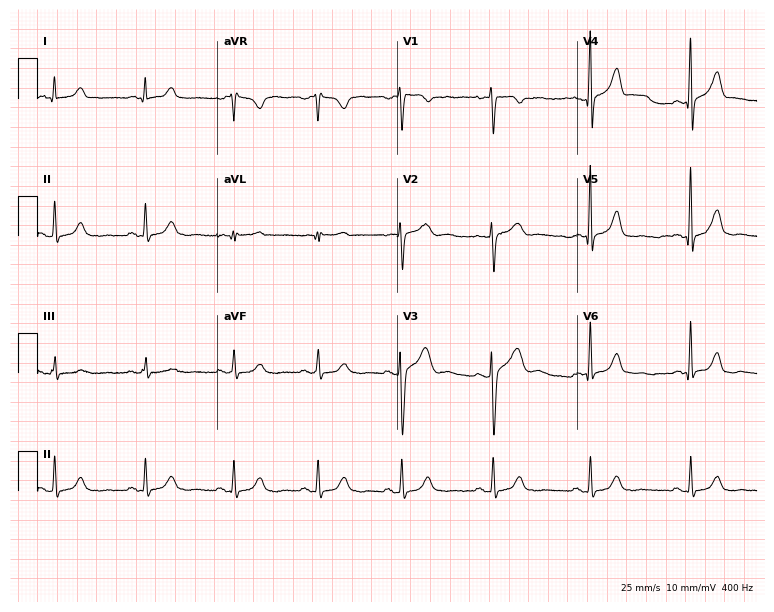
12-lead ECG from a female patient, 34 years old. Labelled as a normal ECG.